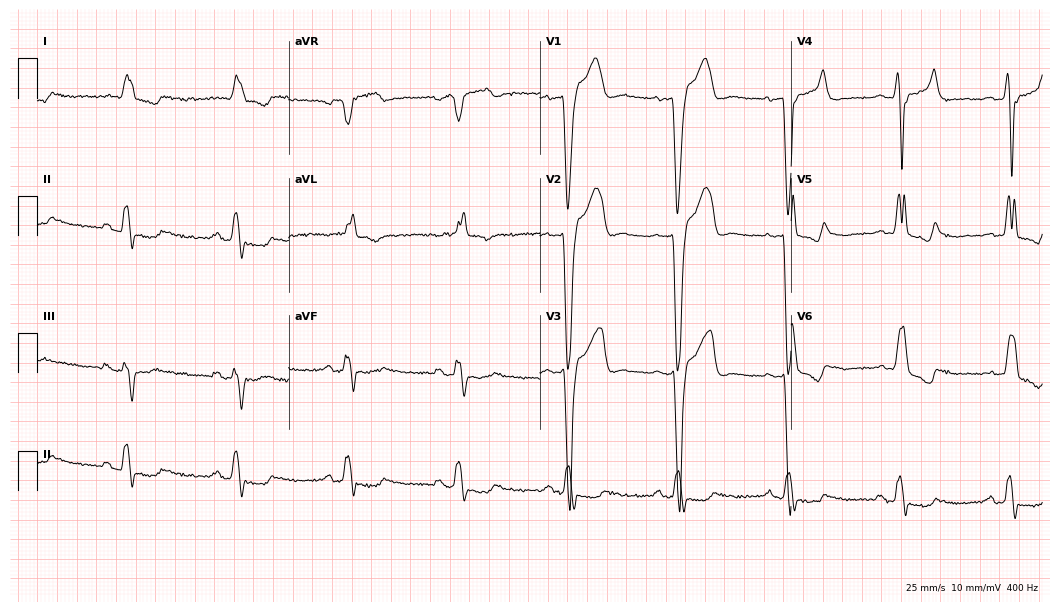
Resting 12-lead electrocardiogram. Patient: an 80-year-old male. The tracing shows left bundle branch block.